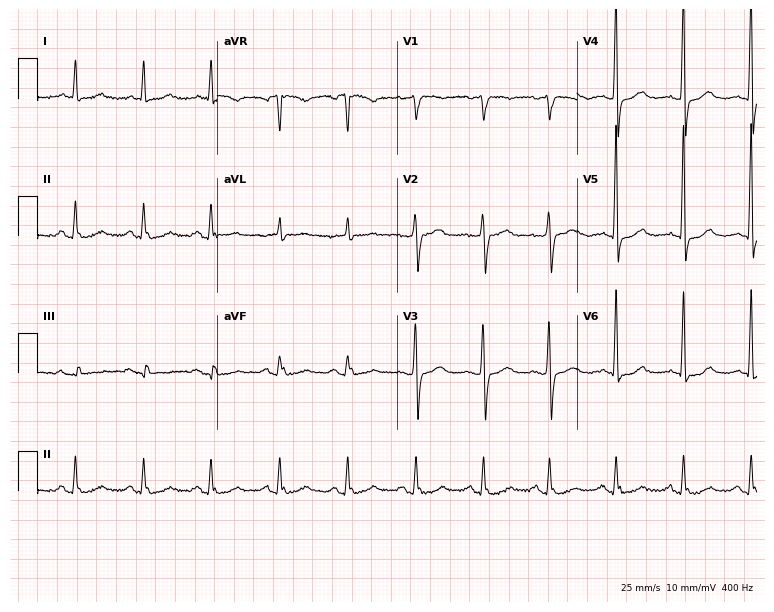
Standard 12-lead ECG recorded from an 80-year-old female patient. Read as a normal ECG.